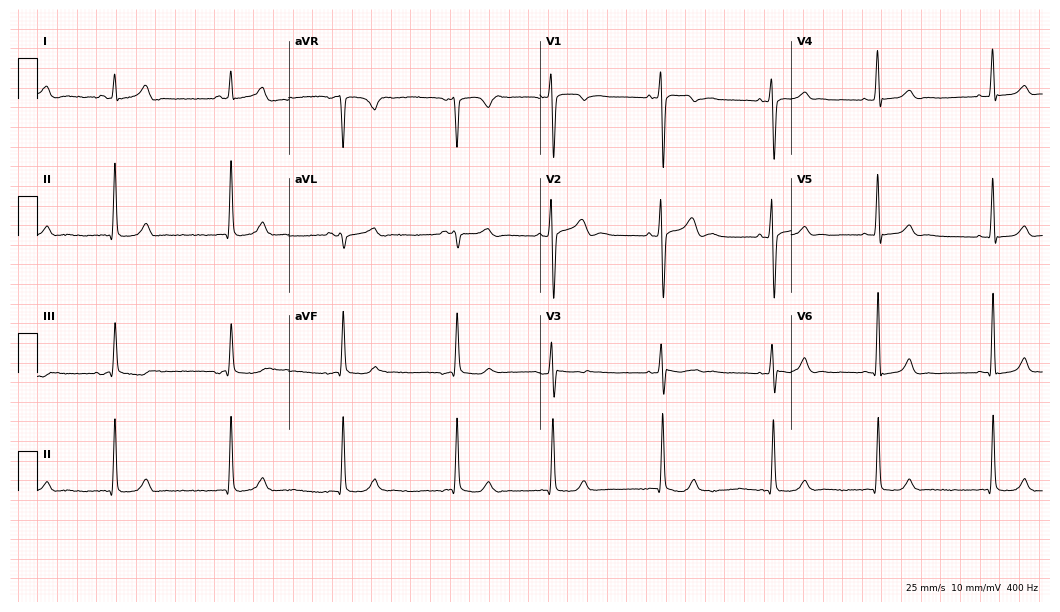
12-lead ECG from a man, 29 years old (10.2-second recording at 400 Hz). Recorded interpretation: within normal limits.